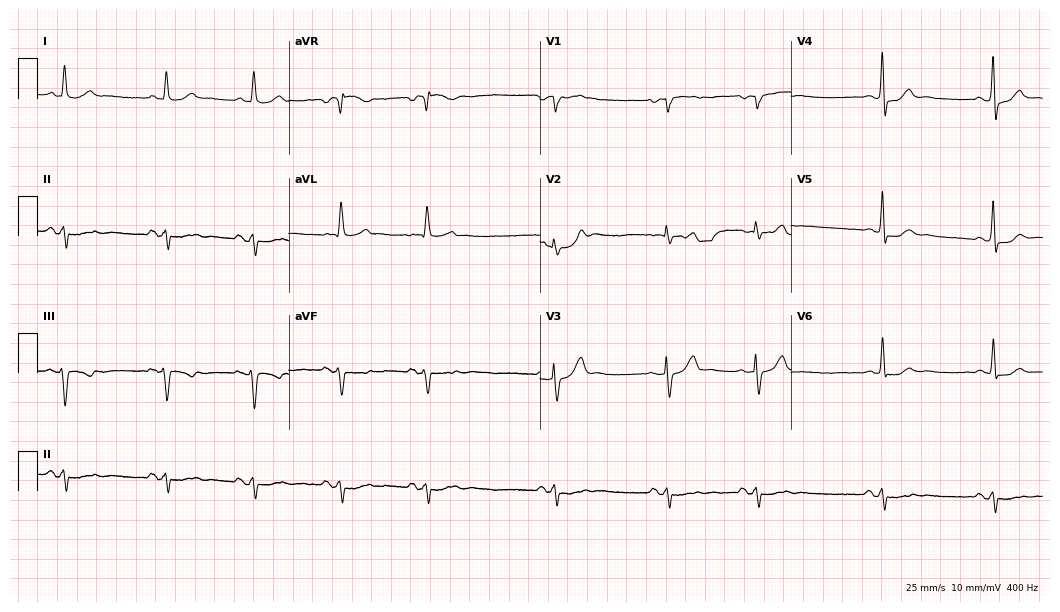
Resting 12-lead electrocardiogram (10.2-second recording at 400 Hz). Patient: a 72-year-old female. None of these six findings is recorded: first-degree AV block, right bundle branch block, left bundle branch block, sinus bradycardia, atrial fibrillation, sinus tachycardia.